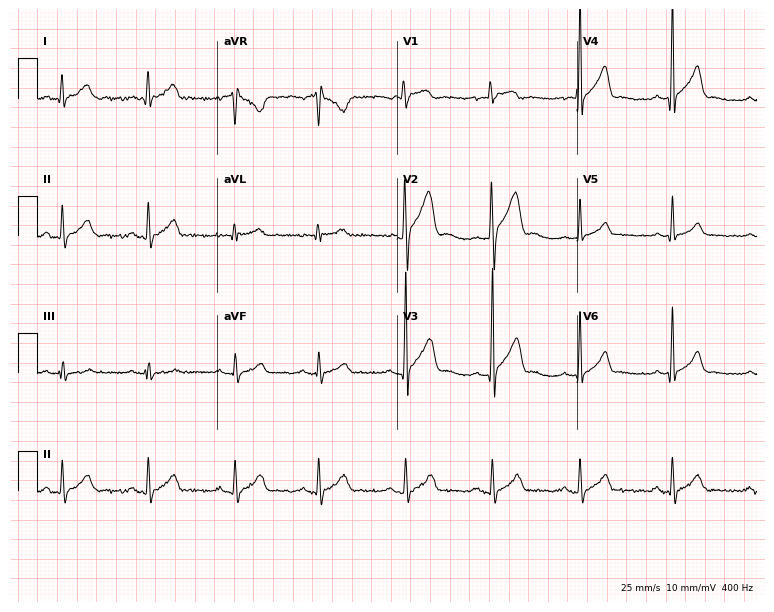
Standard 12-lead ECG recorded from a male patient, 31 years old. Read as a normal ECG.